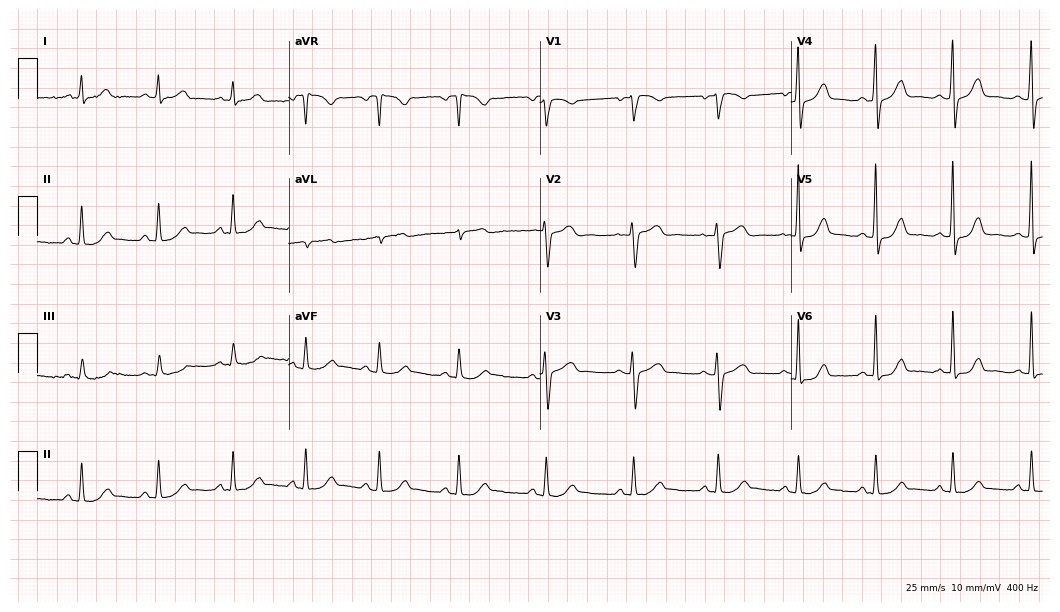
Electrocardiogram (10.2-second recording at 400 Hz), a 44-year-old woman. Overall reading on record: normal ECG.